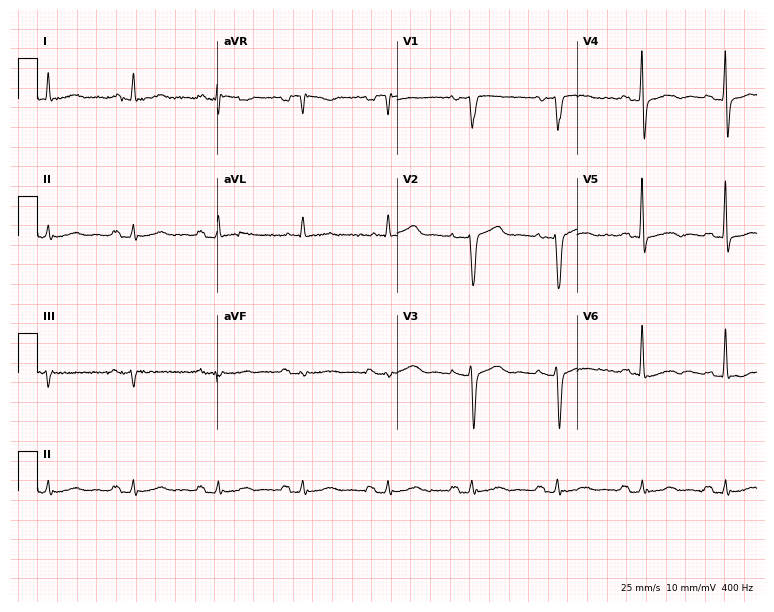
Resting 12-lead electrocardiogram (7.3-second recording at 400 Hz). Patient: a man, 81 years old. None of these six findings is recorded: first-degree AV block, right bundle branch block (RBBB), left bundle branch block (LBBB), sinus bradycardia, atrial fibrillation (AF), sinus tachycardia. Findings outside these six are not listed.